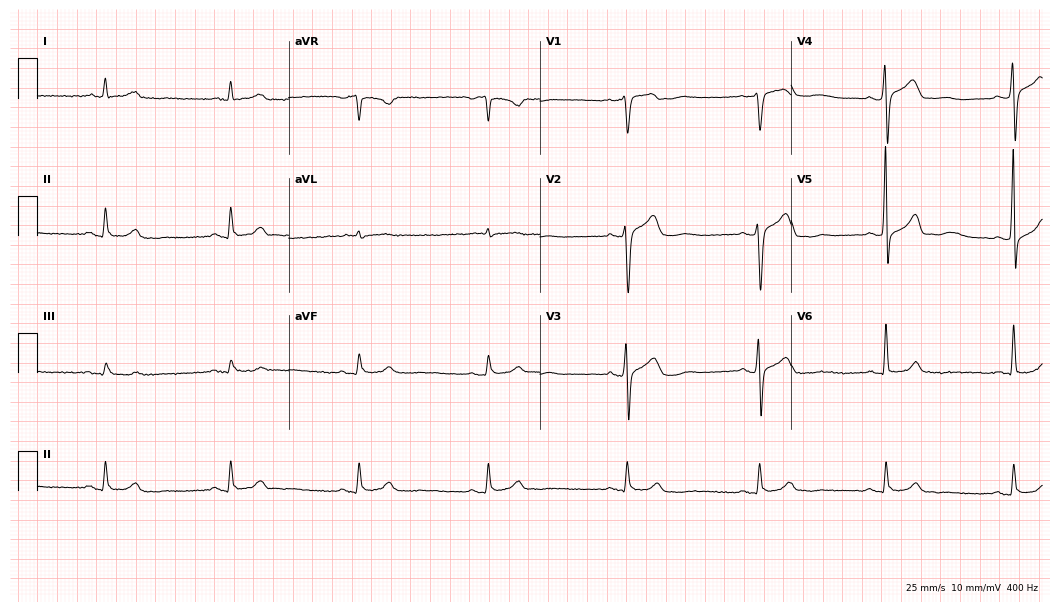
12-lead ECG (10.2-second recording at 400 Hz) from a male, 72 years old. Findings include sinus bradycardia (a sinus rate of 50 beats per minute or less).